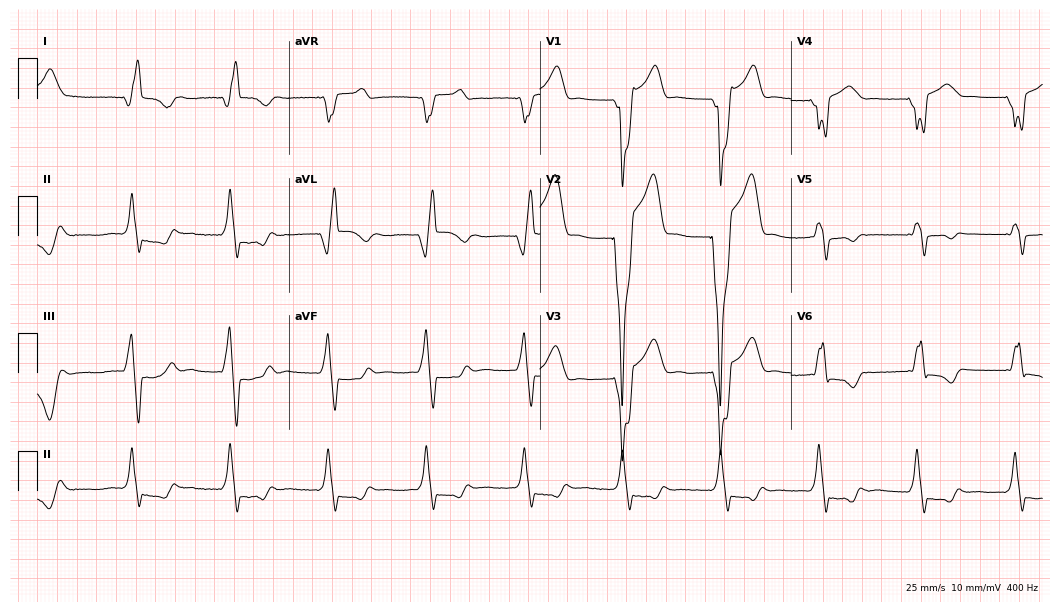
12-lead ECG (10.2-second recording at 400 Hz) from a male, 78 years old. Screened for six findings — first-degree AV block, right bundle branch block, left bundle branch block, sinus bradycardia, atrial fibrillation, sinus tachycardia — none is recorded.